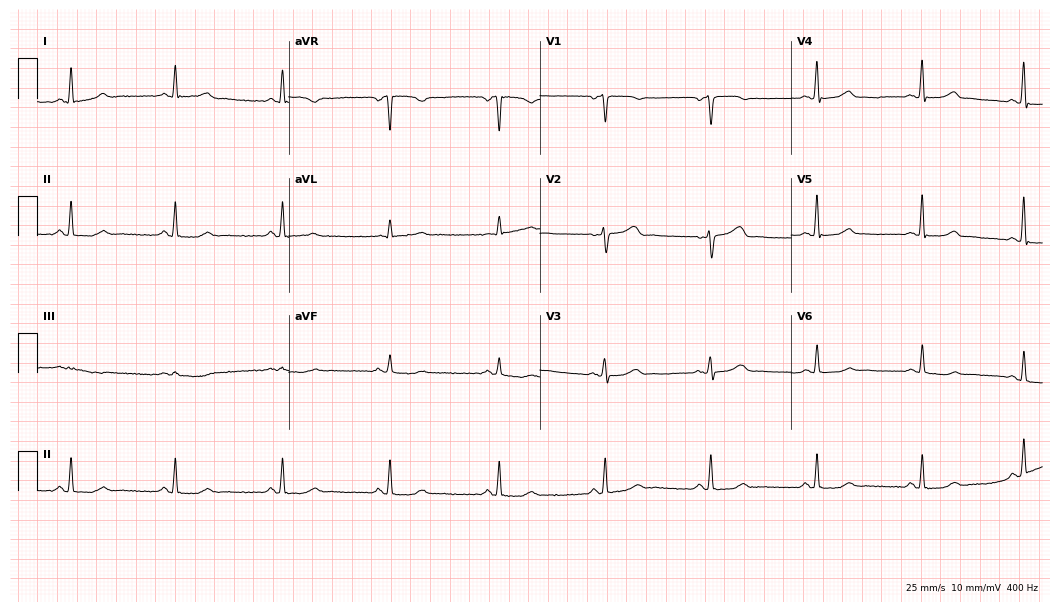
Electrocardiogram, a female, 51 years old. Overall reading on record: normal ECG.